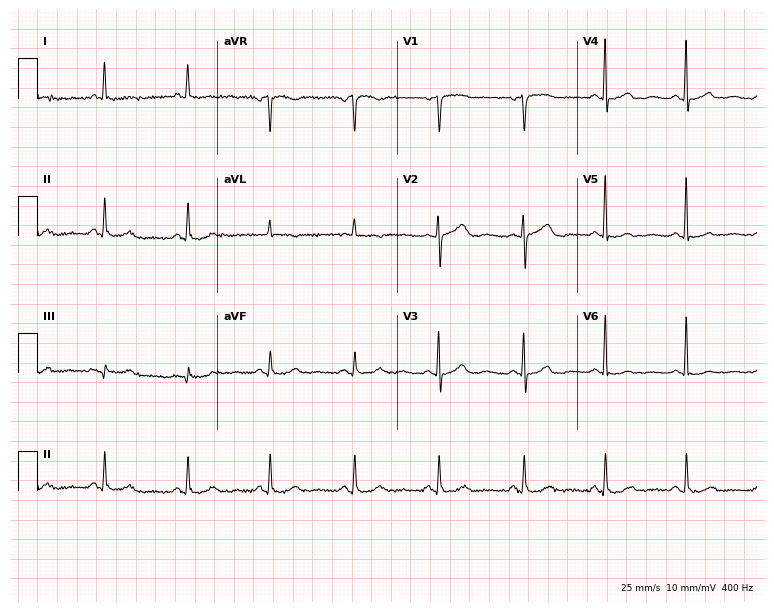
Resting 12-lead electrocardiogram. Patient: an 80-year-old female. None of these six findings is recorded: first-degree AV block, right bundle branch block, left bundle branch block, sinus bradycardia, atrial fibrillation, sinus tachycardia. Only these six findings were labelled.